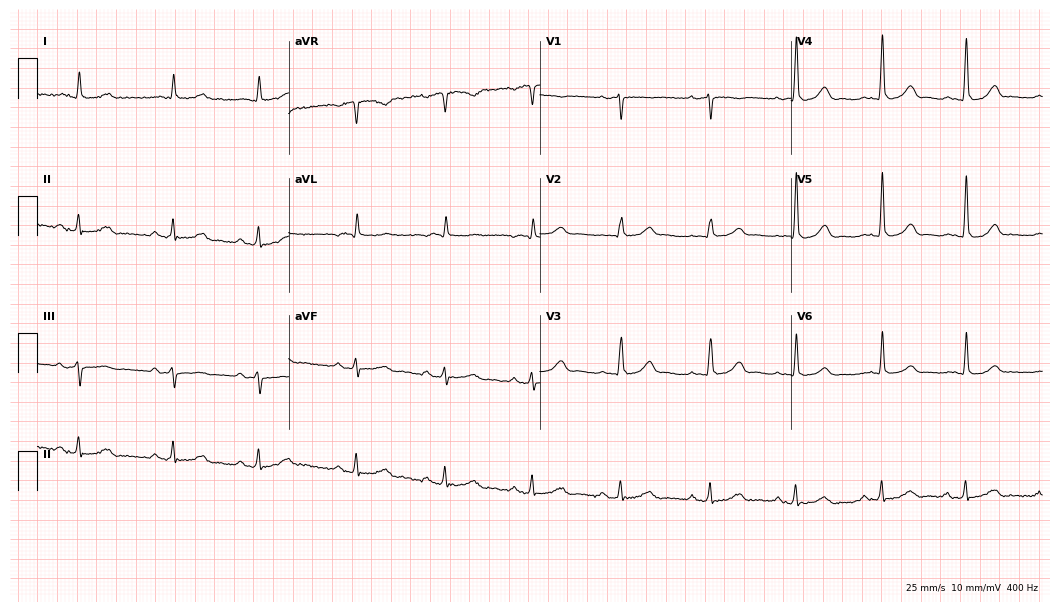
ECG — an 82-year-old male patient. Labelled as a normal ECG.